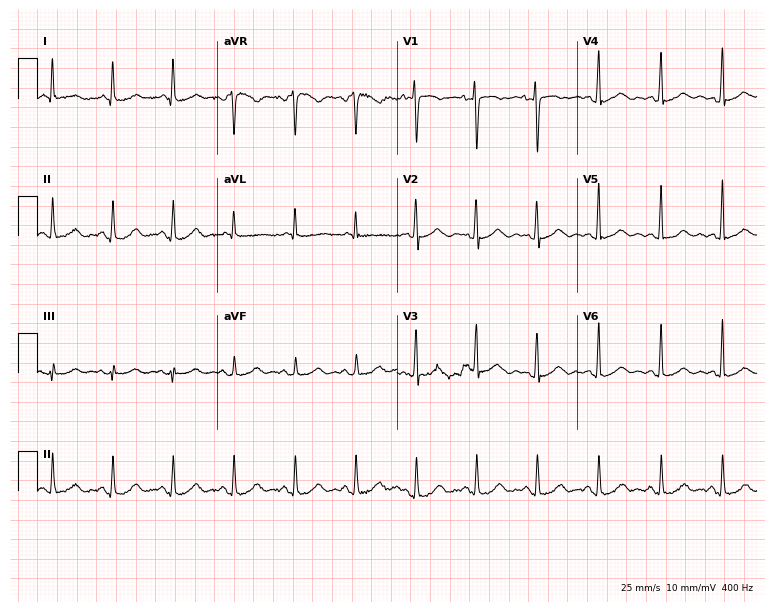
Standard 12-lead ECG recorded from a 52-year-old female patient (7.3-second recording at 400 Hz). None of these six findings is recorded: first-degree AV block, right bundle branch block, left bundle branch block, sinus bradycardia, atrial fibrillation, sinus tachycardia.